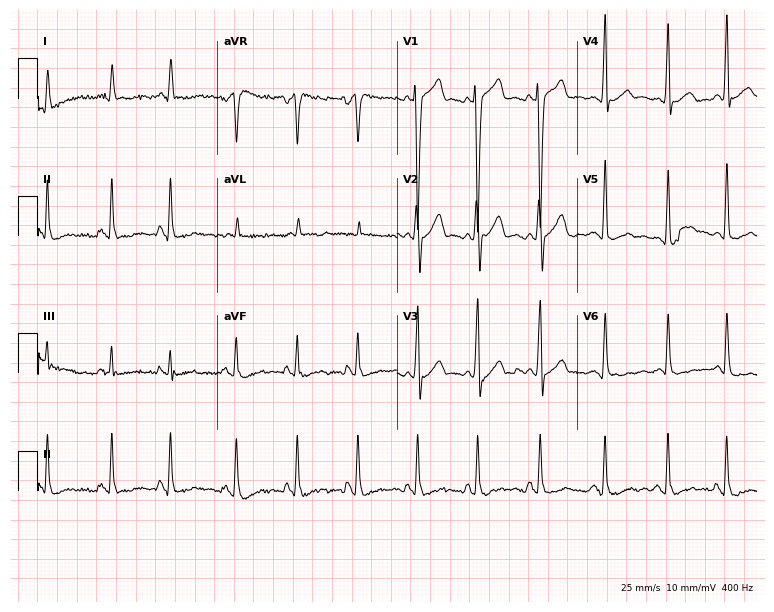
Electrocardiogram (7.3-second recording at 400 Hz), a 54-year-old male patient. Of the six screened findings (first-degree AV block, right bundle branch block, left bundle branch block, sinus bradycardia, atrial fibrillation, sinus tachycardia), none is recorded. Findings outside these six are not listed.